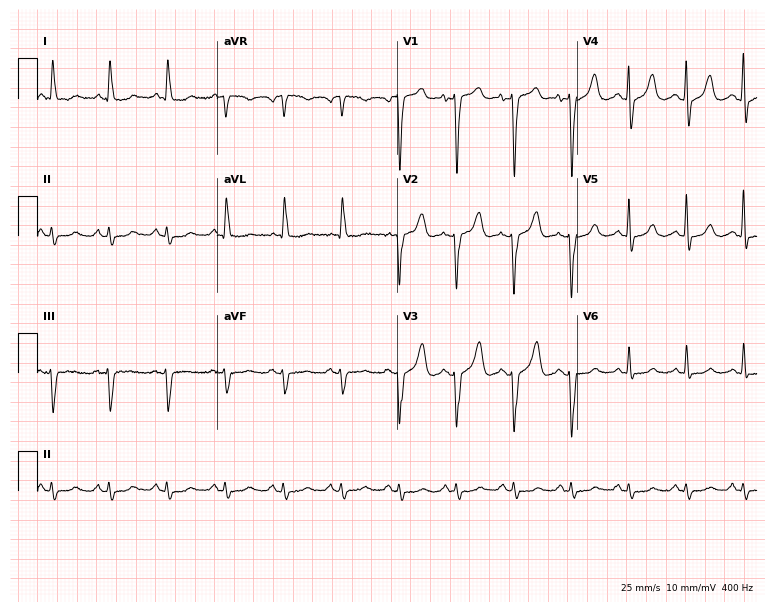
12-lead ECG (7.3-second recording at 400 Hz) from a female patient, 85 years old. Screened for six findings — first-degree AV block, right bundle branch block (RBBB), left bundle branch block (LBBB), sinus bradycardia, atrial fibrillation (AF), sinus tachycardia — none is recorded.